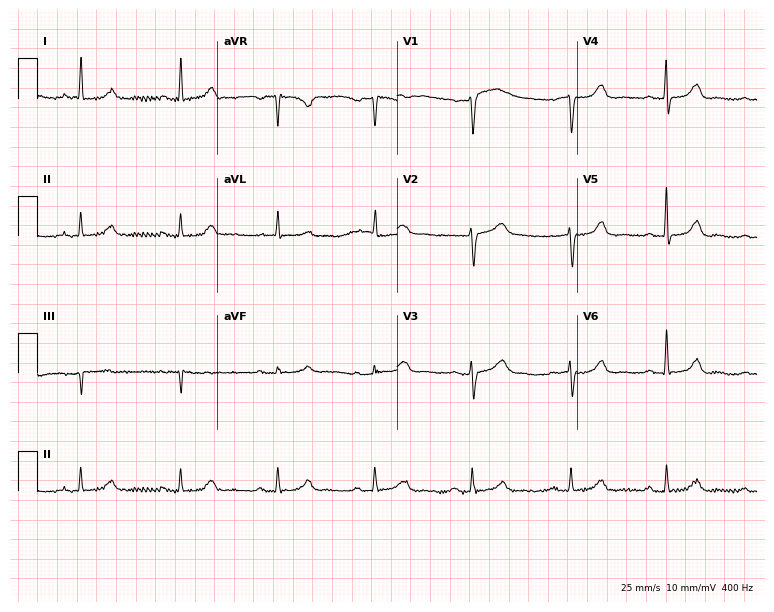
Standard 12-lead ECG recorded from a 55-year-old female. Read as a normal ECG.